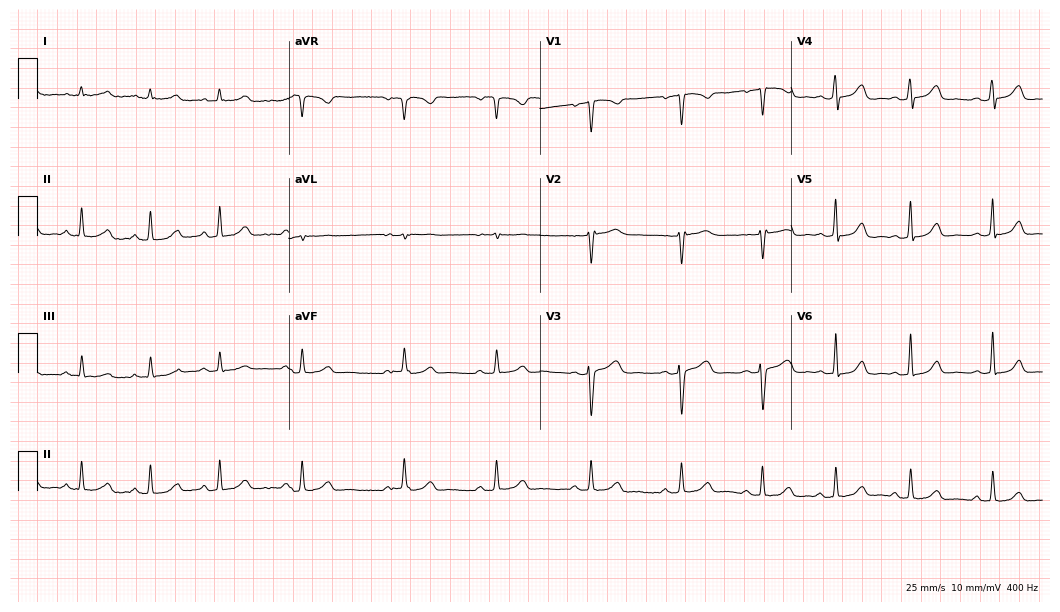
Electrocardiogram (10.2-second recording at 400 Hz), a female patient, 22 years old. Of the six screened findings (first-degree AV block, right bundle branch block, left bundle branch block, sinus bradycardia, atrial fibrillation, sinus tachycardia), none is recorded. Only these six findings were labelled.